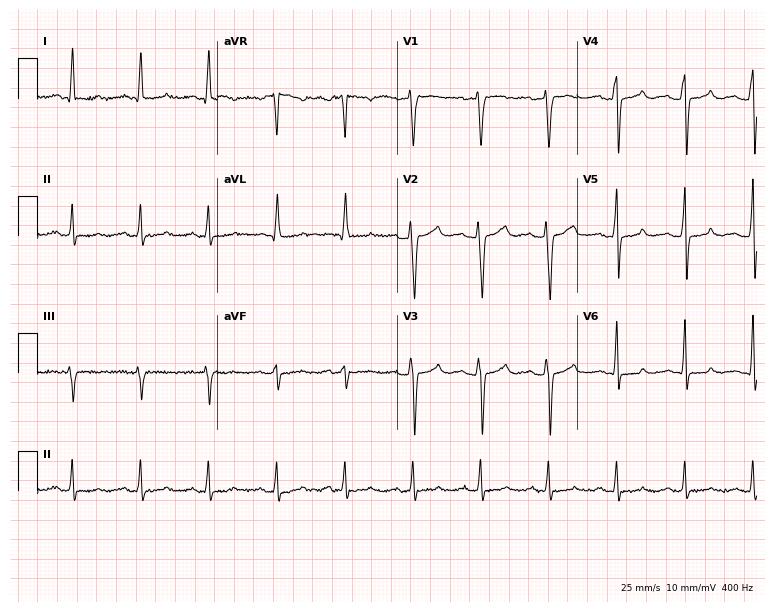
Standard 12-lead ECG recorded from a woman, 36 years old. None of these six findings is recorded: first-degree AV block, right bundle branch block, left bundle branch block, sinus bradycardia, atrial fibrillation, sinus tachycardia. Findings outside these six are not listed.